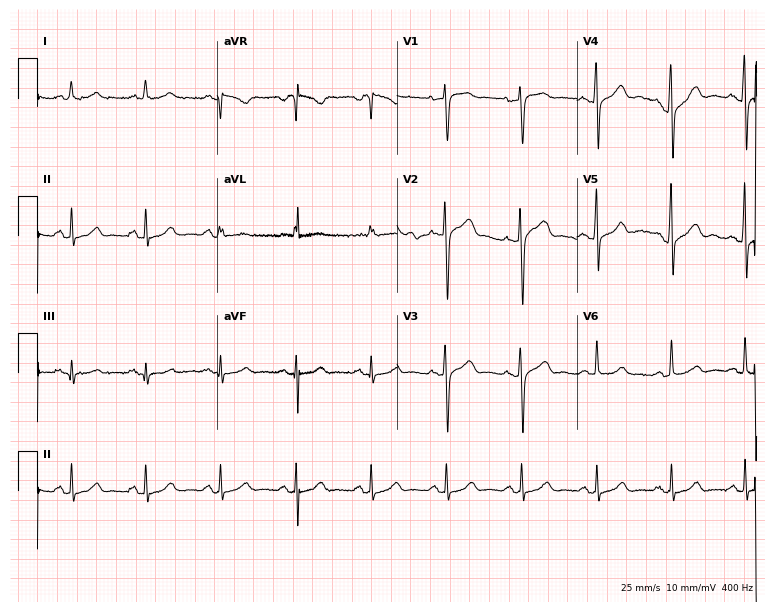
12-lead ECG from a female patient, 64 years old. Recorded interpretation: within normal limits.